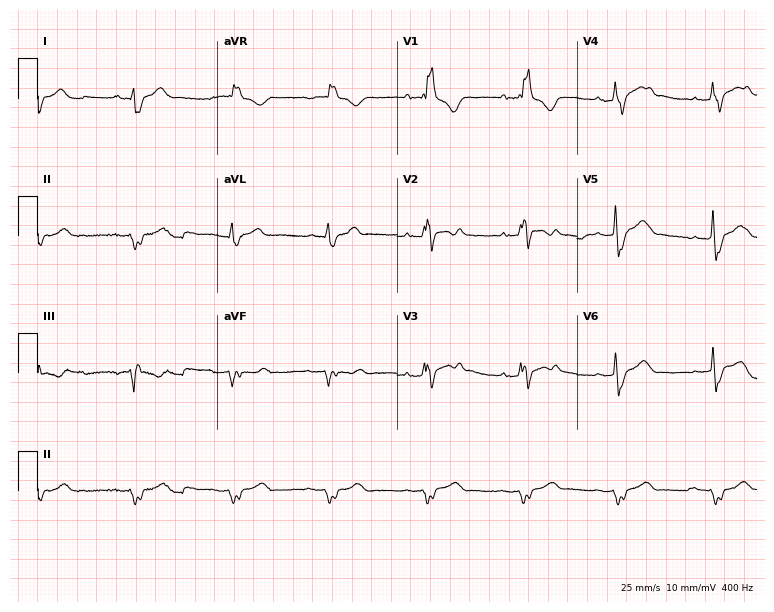
12-lead ECG from a male, 28 years old. Shows right bundle branch block (RBBB).